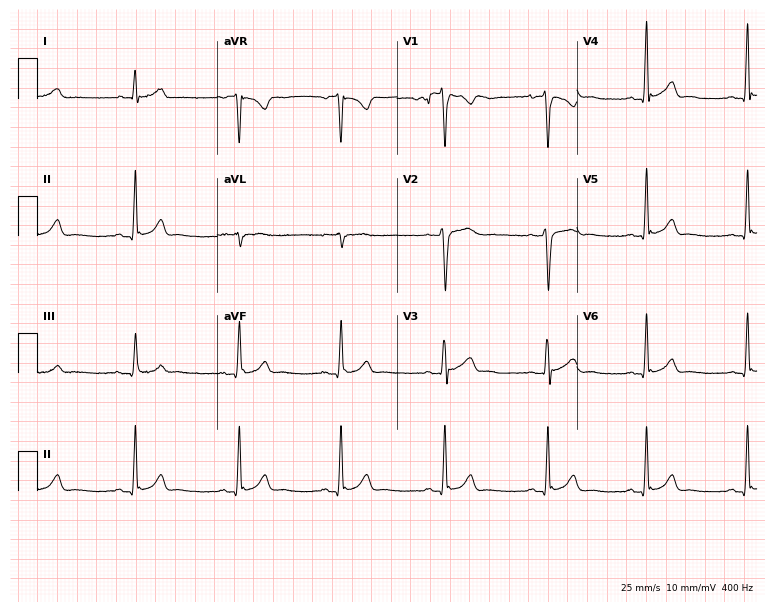
12-lead ECG from a male, 46 years old (7.3-second recording at 400 Hz). Recorded interpretation: within normal limits.